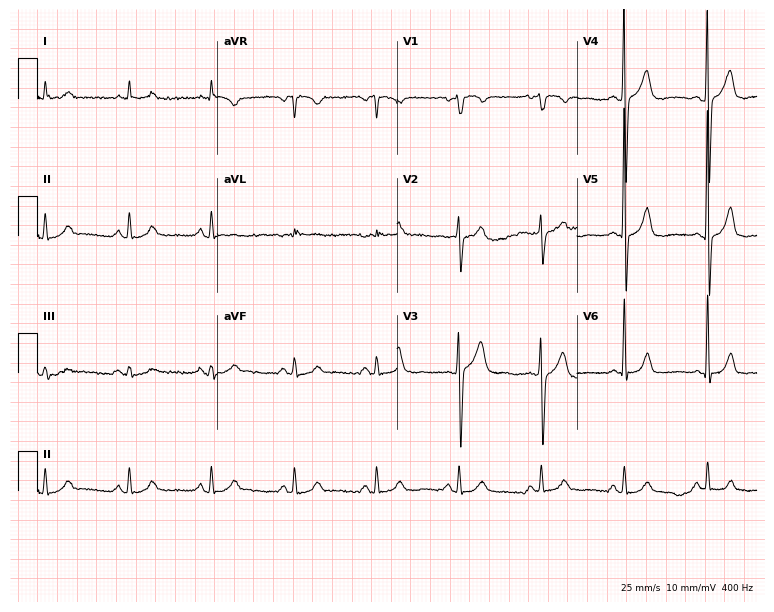
12-lead ECG from a 64-year-old man (7.3-second recording at 400 Hz). Recorded interpretation: within normal limits.